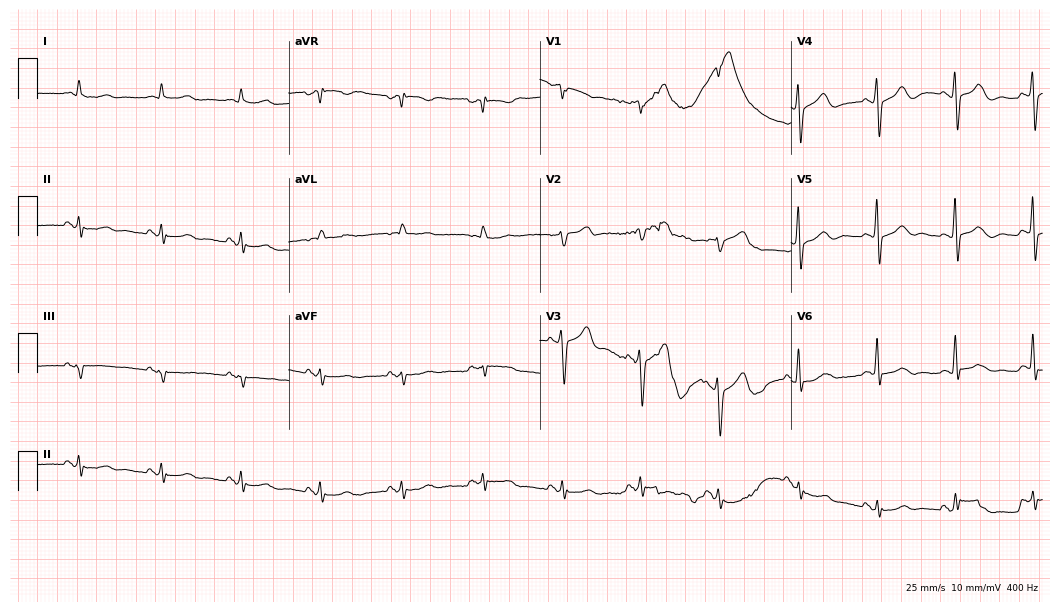
Resting 12-lead electrocardiogram. Patient: a man, 76 years old. None of these six findings is recorded: first-degree AV block, right bundle branch block (RBBB), left bundle branch block (LBBB), sinus bradycardia, atrial fibrillation (AF), sinus tachycardia. Other findings, if any, are not listed.